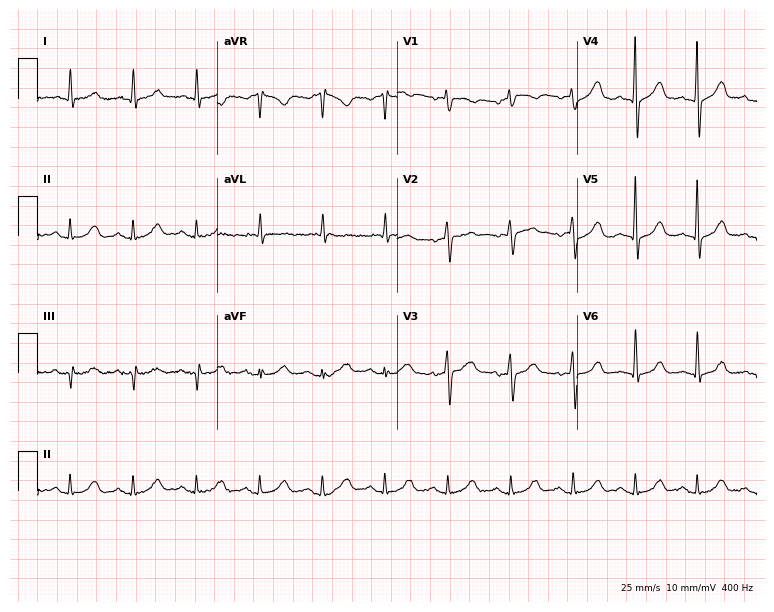
12-lead ECG from a male, 75 years old. Recorded interpretation: within normal limits.